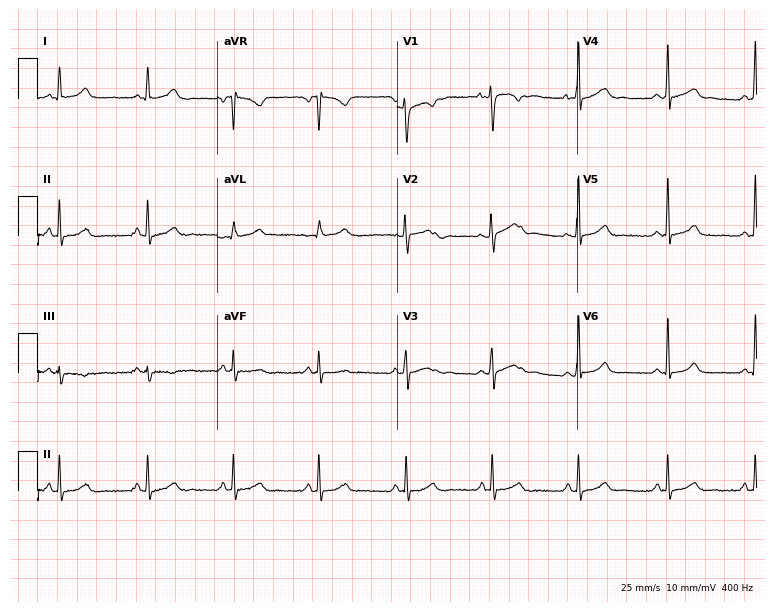
12-lead ECG from a woman, 32 years old. Recorded interpretation: within normal limits.